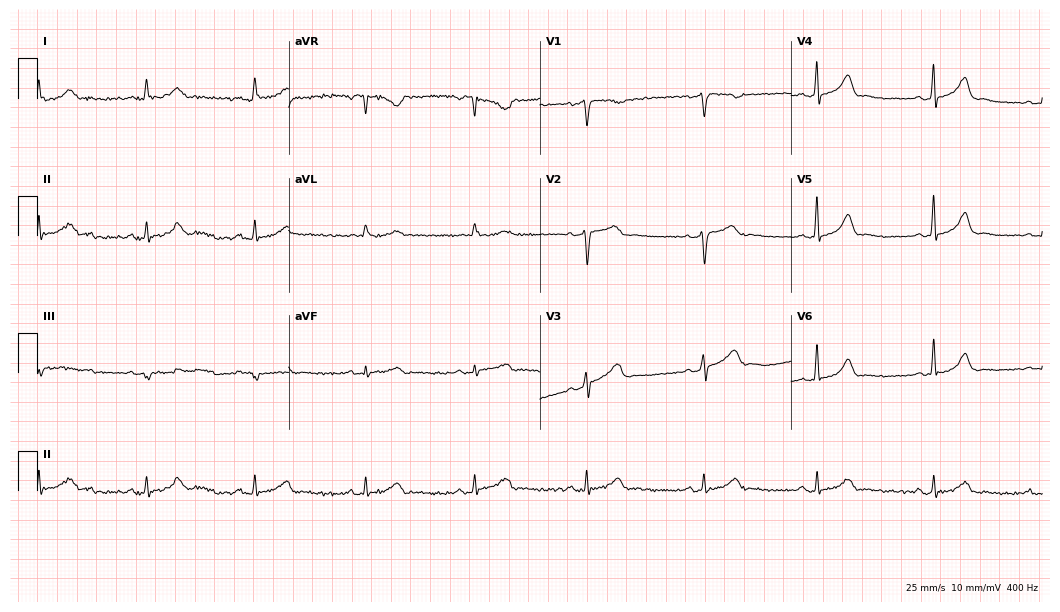
ECG — a 48-year-old female. Screened for six findings — first-degree AV block, right bundle branch block, left bundle branch block, sinus bradycardia, atrial fibrillation, sinus tachycardia — none is recorded.